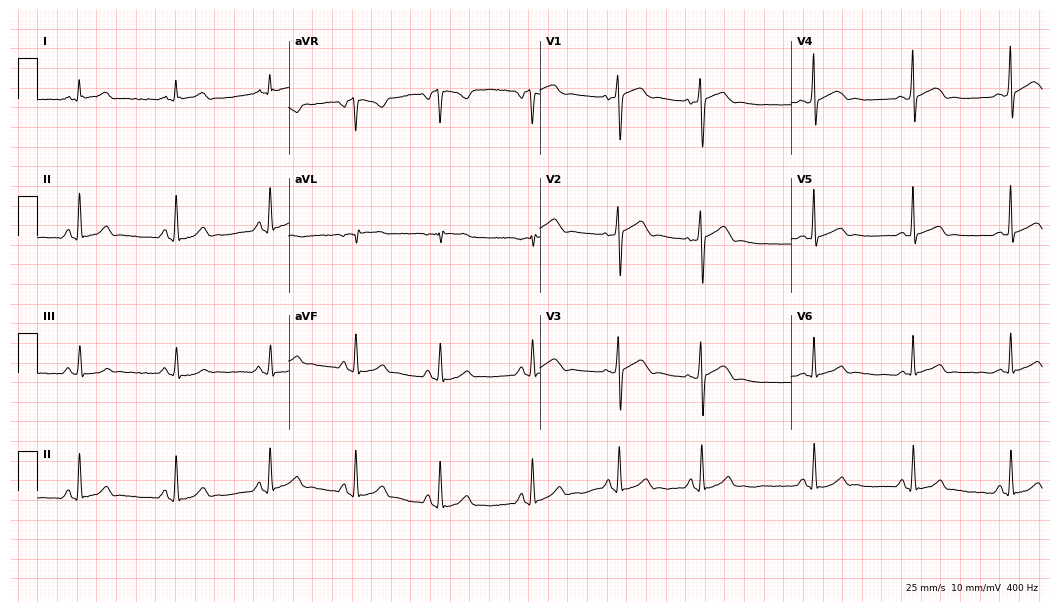
12-lead ECG from a 36-year-old man. Recorded interpretation: within normal limits.